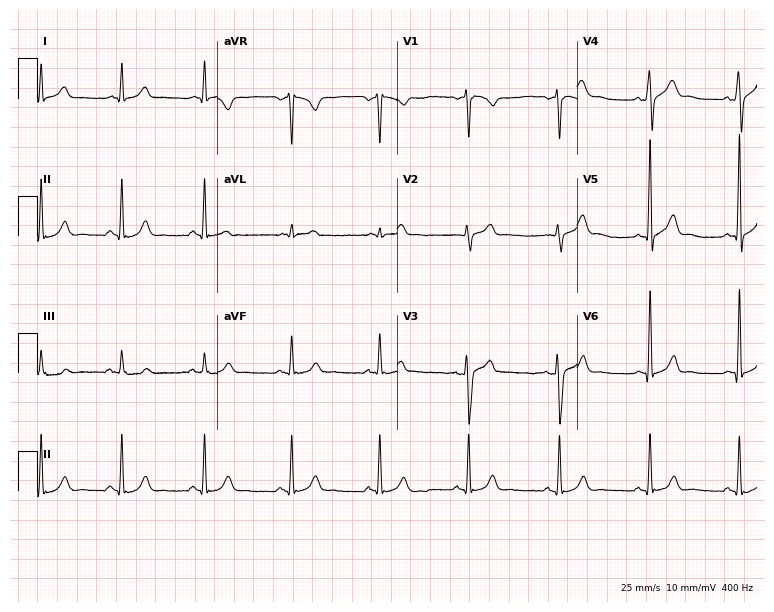
Resting 12-lead electrocardiogram (7.3-second recording at 400 Hz). Patient: a 39-year-old male. Read as a normal ECG.